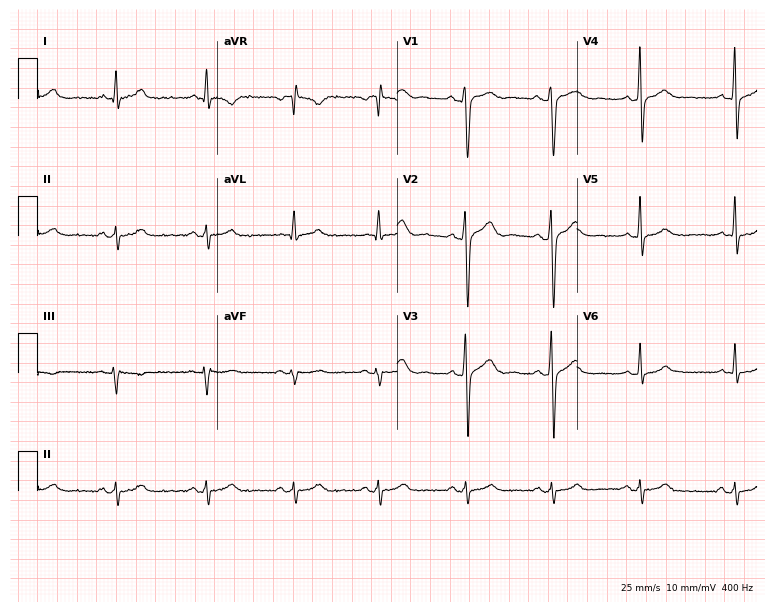
Standard 12-lead ECG recorded from a 31-year-old male patient. None of these six findings is recorded: first-degree AV block, right bundle branch block (RBBB), left bundle branch block (LBBB), sinus bradycardia, atrial fibrillation (AF), sinus tachycardia.